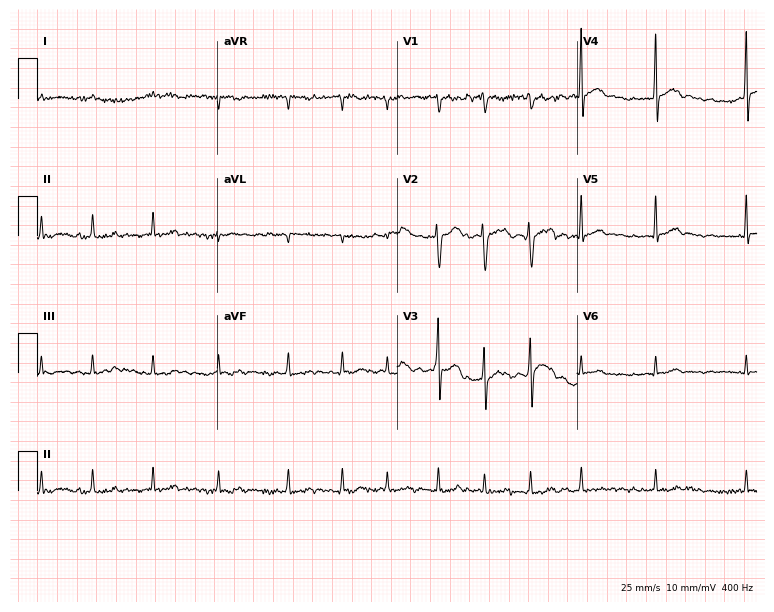
ECG (7.3-second recording at 400 Hz) — a 77-year-old male. Findings include atrial fibrillation.